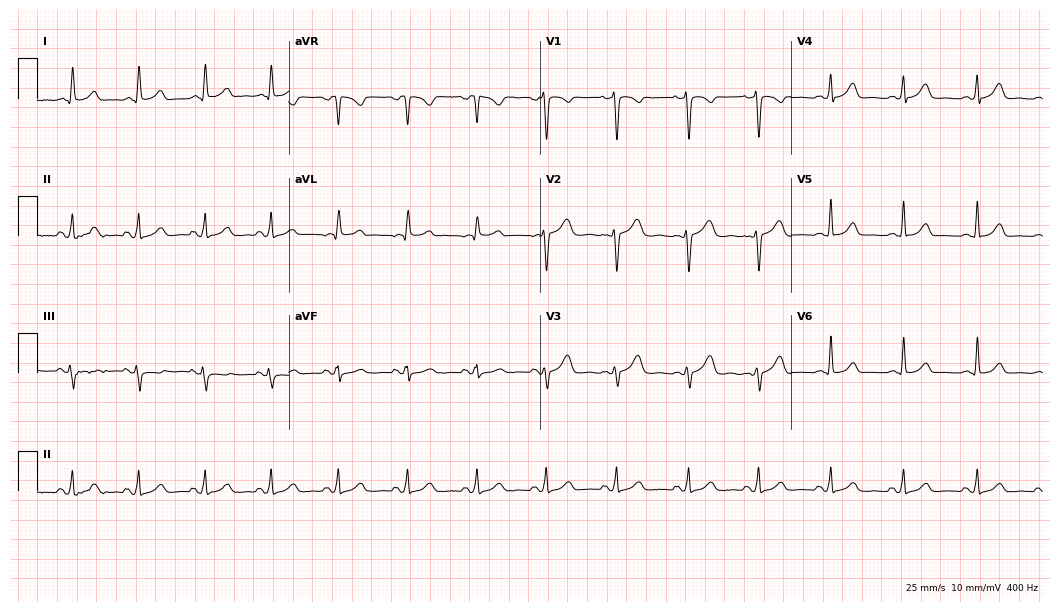
Resting 12-lead electrocardiogram (10.2-second recording at 400 Hz). Patient: a female, 31 years old. Read as a normal ECG.